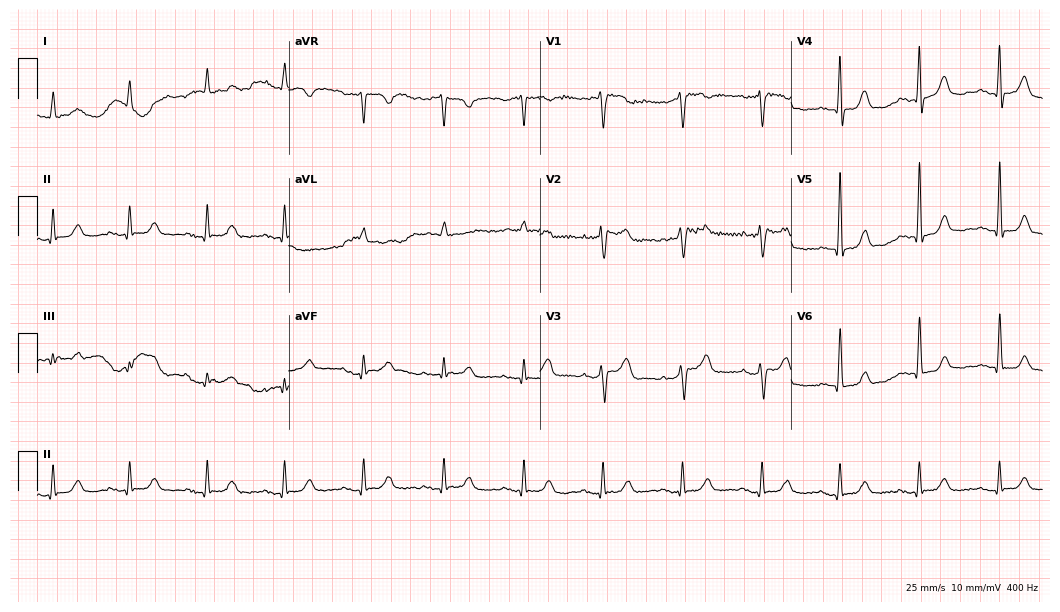
Standard 12-lead ECG recorded from an 82-year-old woman (10.2-second recording at 400 Hz). Read as a normal ECG.